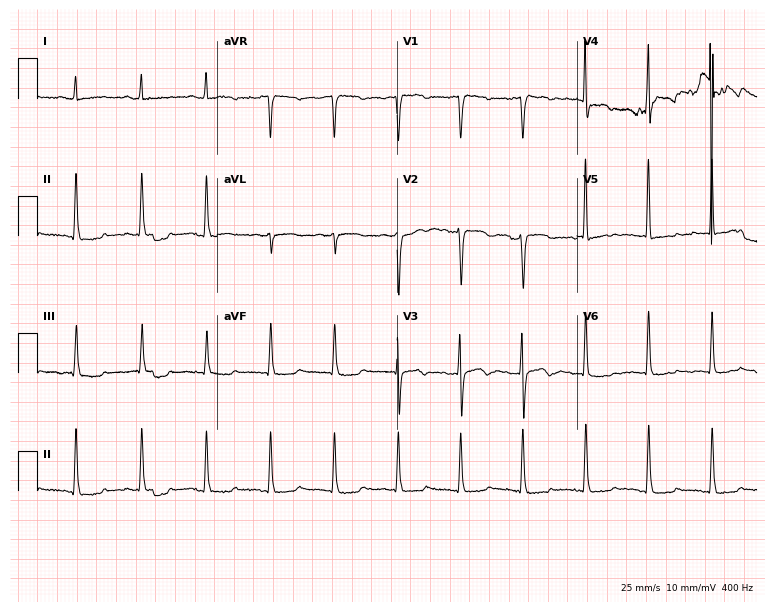
Electrocardiogram, a female patient, 47 years old. Of the six screened findings (first-degree AV block, right bundle branch block, left bundle branch block, sinus bradycardia, atrial fibrillation, sinus tachycardia), none is recorded.